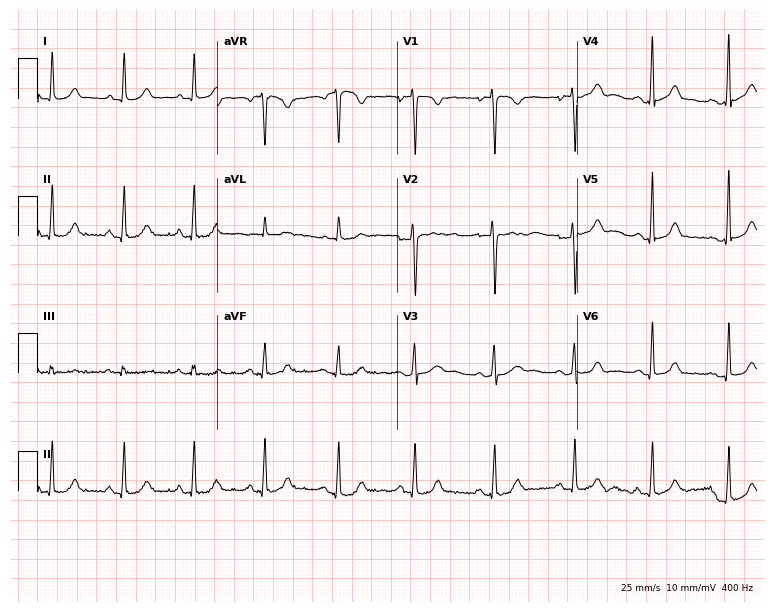
Standard 12-lead ECG recorded from a female patient, 31 years old. Read as a normal ECG.